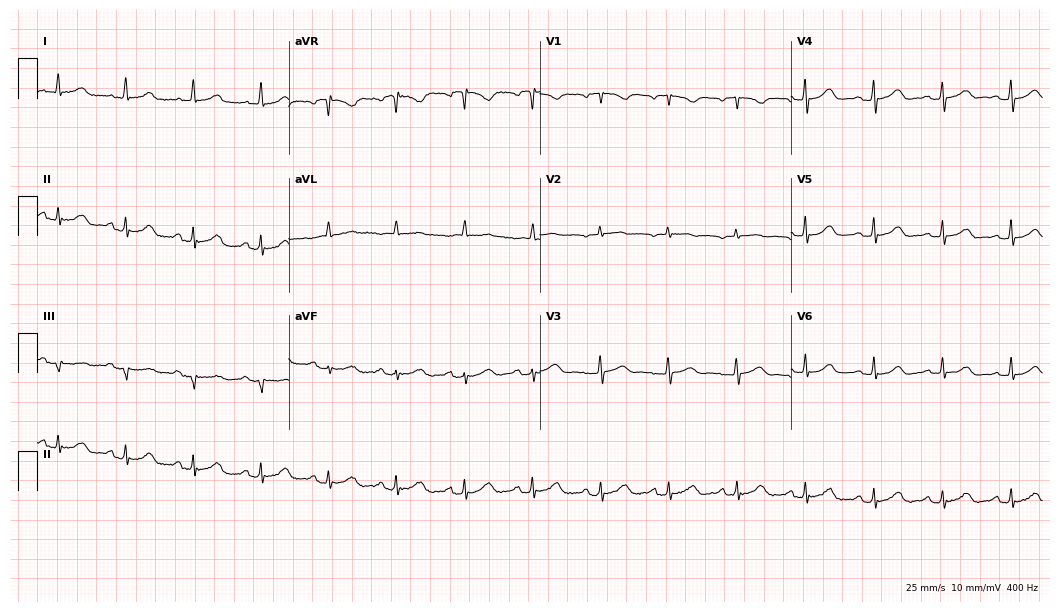
12-lead ECG from a 71-year-old female patient. Screened for six findings — first-degree AV block, right bundle branch block, left bundle branch block, sinus bradycardia, atrial fibrillation, sinus tachycardia — none is recorded. Findings outside these six are not listed.